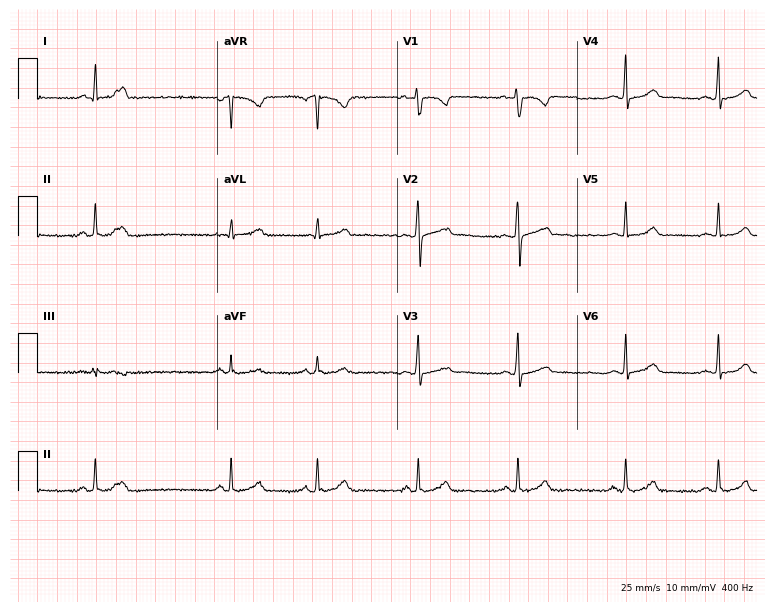
12-lead ECG from a woman, 23 years old. Screened for six findings — first-degree AV block, right bundle branch block (RBBB), left bundle branch block (LBBB), sinus bradycardia, atrial fibrillation (AF), sinus tachycardia — none is recorded. Only these six findings were labelled.